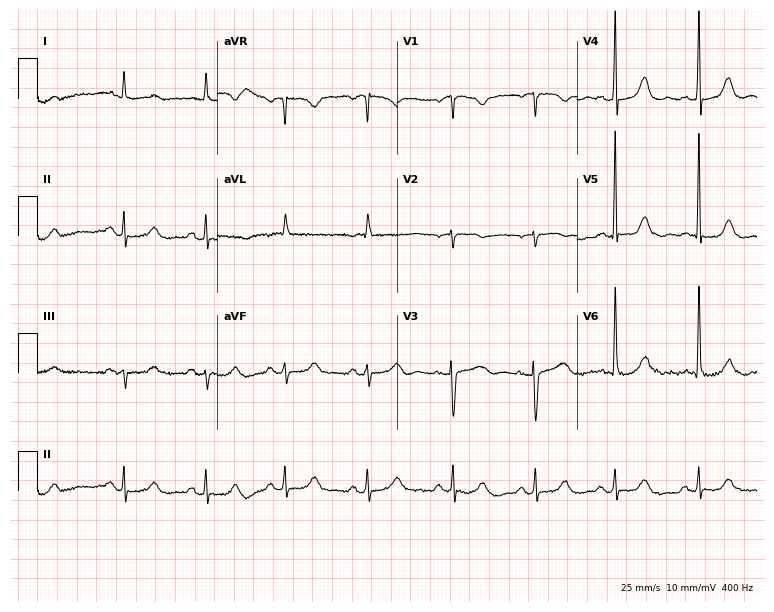
ECG (7.3-second recording at 400 Hz) — a female, 80 years old. Screened for six findings — first-degree AV block, right bundle branch block, left bundle branch block, sinus bradycardia, atrial fibrillation, sinus tachycardia — none is recorded.